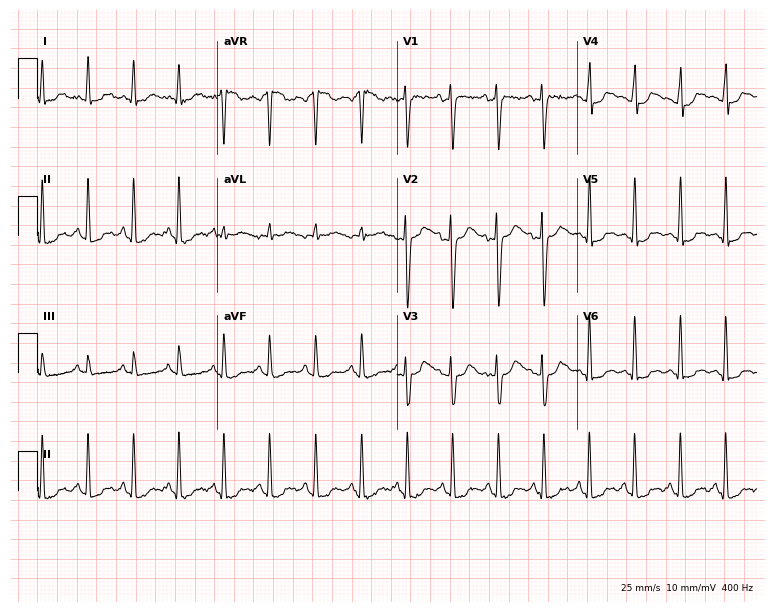
Standard 12-lead ECG recorded from a 24-year-old woman. The tracing shows sinus tachycardia (a sinus rate of 100 beats per minute or more).